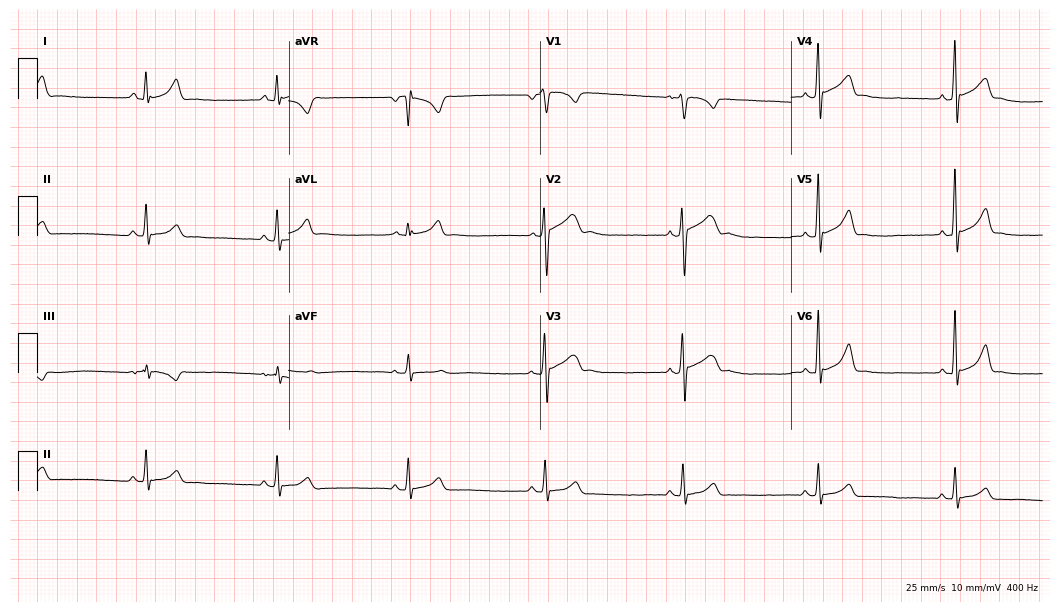
ECG (10.2-second recording at 400 Hz) — a male patient, 18 years old. Findings include sinus bradycardia (a sinus rate of 50 beats per minute or less).